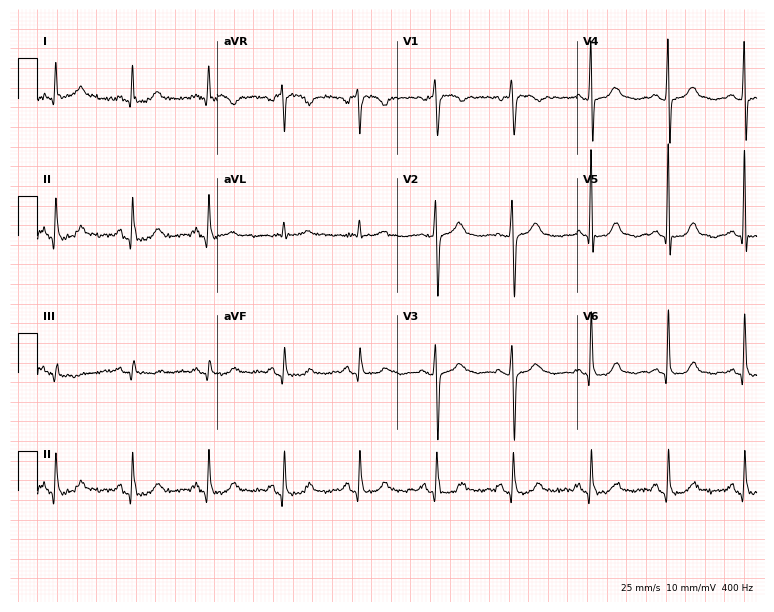
12-lead ECG (7.3-second recording at 400 Hz) from an 84-year-old female patient. Screened for six findings — first-degree AV block, right bundle branch block, left bundle branch block, sinus bradycardia, atrial fibrillation, sinus tachycardia — none is recorded.